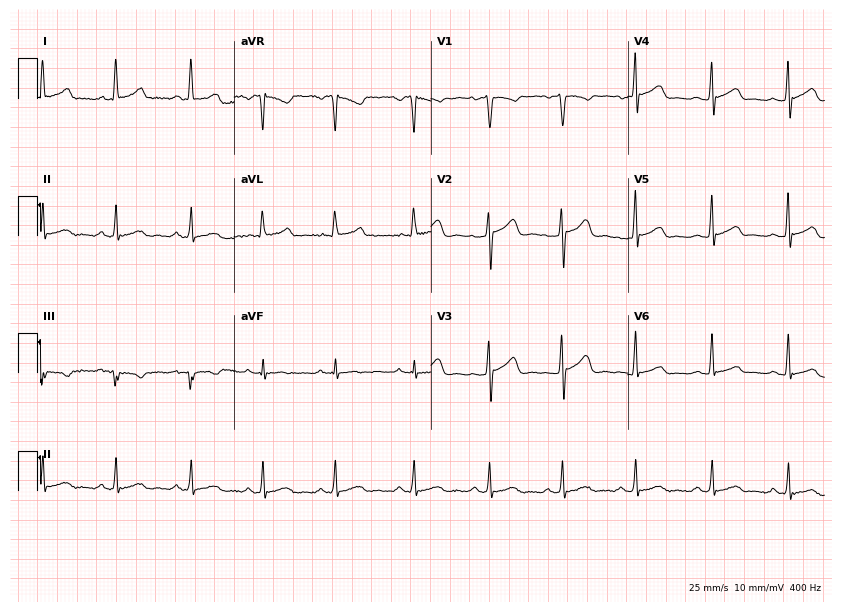
12-lead ECG from a 33-year-old female patient. Recorded interpretation: within normal limits.